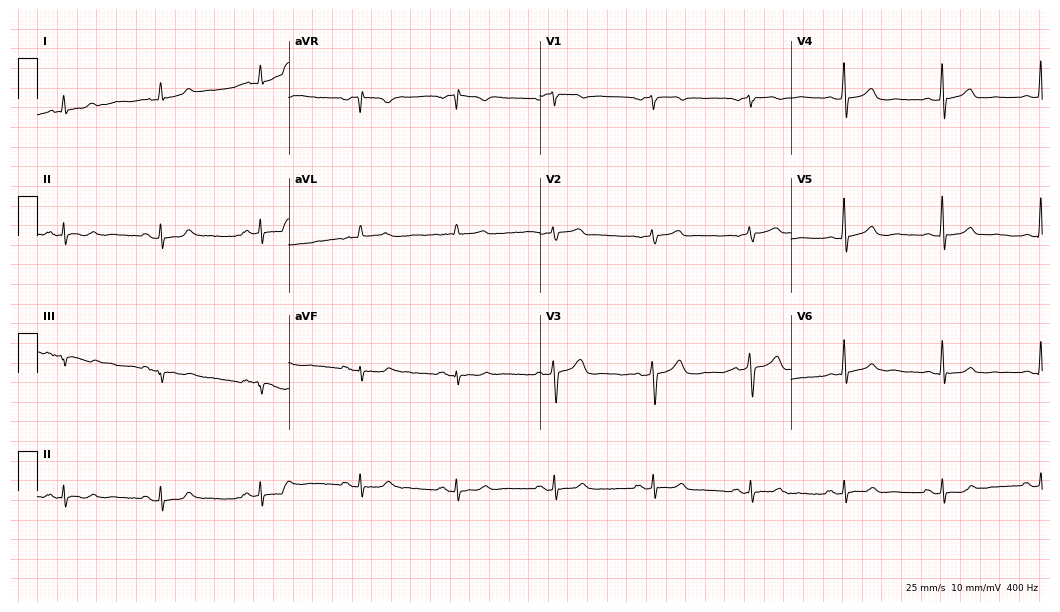
Electrocardiogram (10.2-second recording at 400 Hz), a 57-year-old male. Overall reading on record: normal ECG.